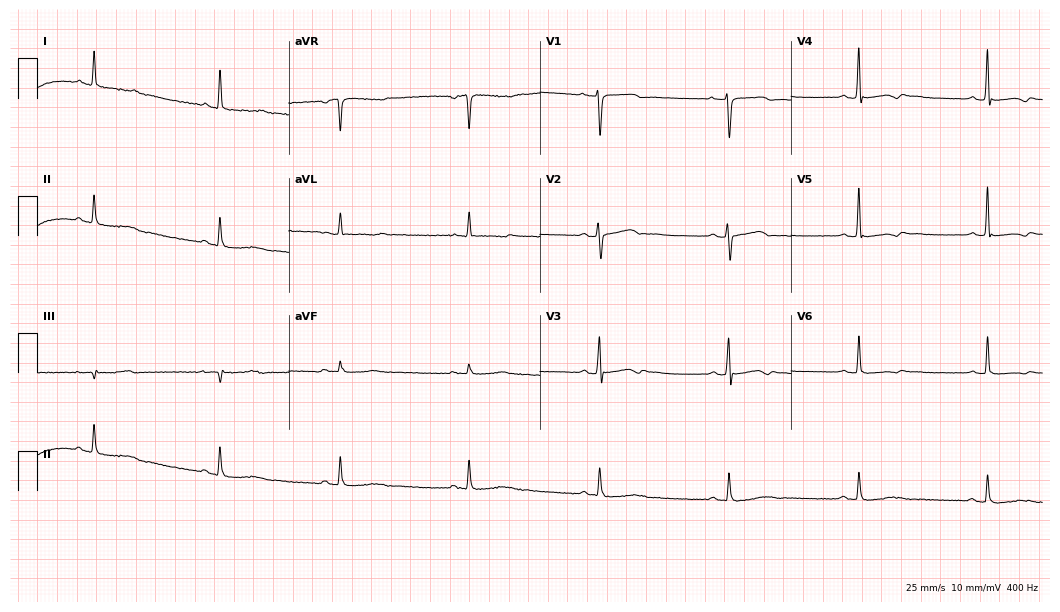
12-lead ECG from a female patient, 50 years old (10.2-second recording at 400 Hz). Shows sinus bradycardia (a sinus rate of 50 beats per minute or less).